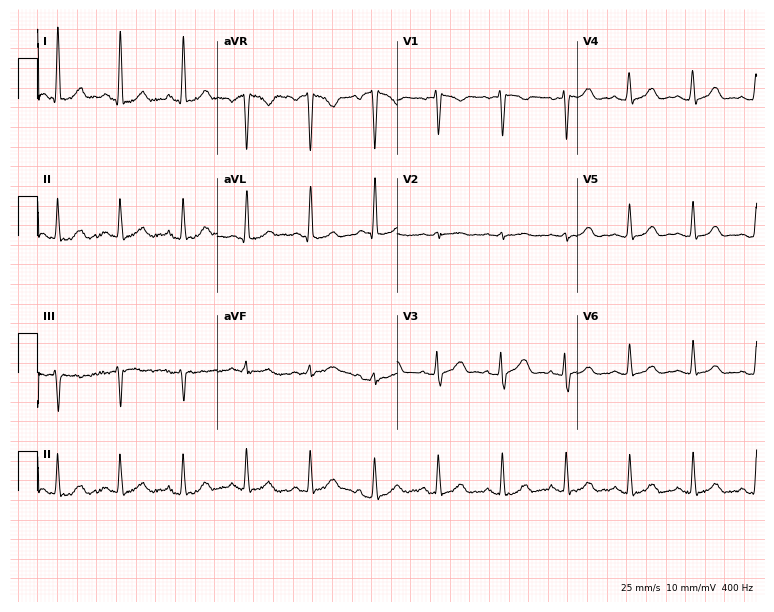
ECG — a female patient, 32 years old. Labelled as a normal ECG.